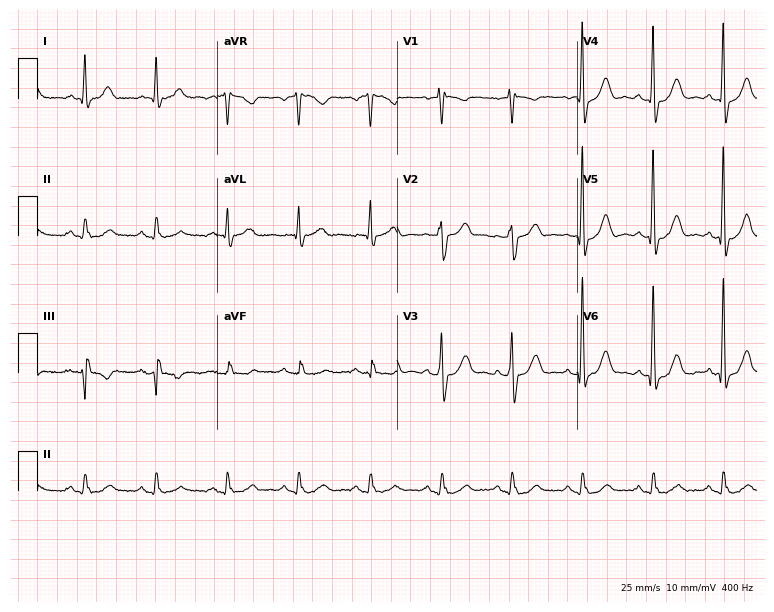
12-lead ECG (7.3-second recording at 400 Hz) from a 60-year-old man. Screened for six findings — first-degree AV block, right bundle branch block, left bundle branch block, sinus bradycardia, atrial fibrillation, sinus tachycardia — none is recorded.